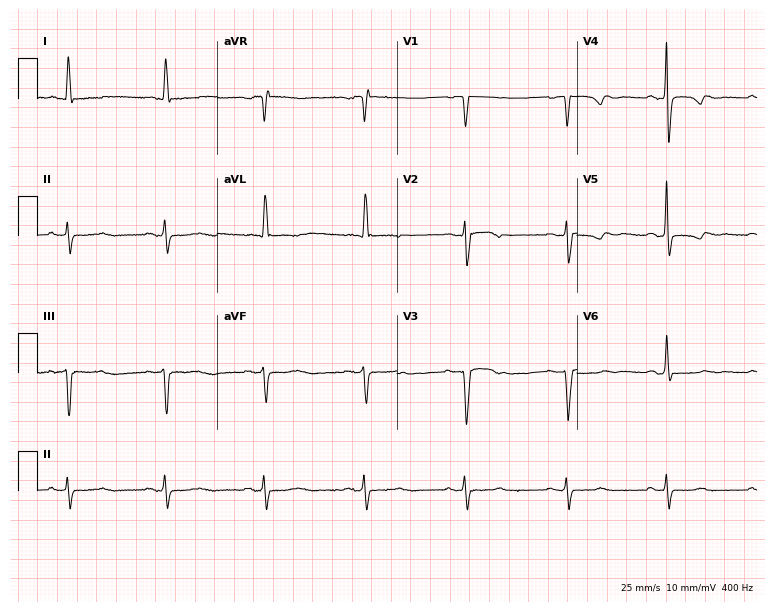
Standard 12-lead ECG recorded from a 67-year-old female (7.3-second recording at 400 Hz). None of these six findings is recorded: first-degree AV block, right bundle branch block, left bundle branch block, sinus bradycardia, atrial fibrillation, sinus tachycardia. Findings outside these six are not listed.